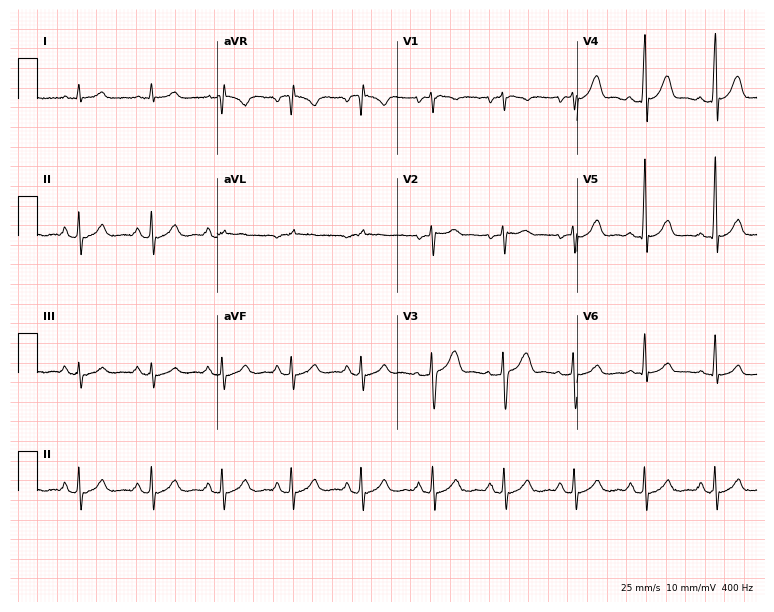
Electrocardiogram, a 38-year-old man. Of the six screened findings (first-degree AV block, right bundle branch block, left bundle branch block, sinus bradycardia, atrial fibrillation, sinus tachycardia), none is recorded. Only these six findings were labelled.